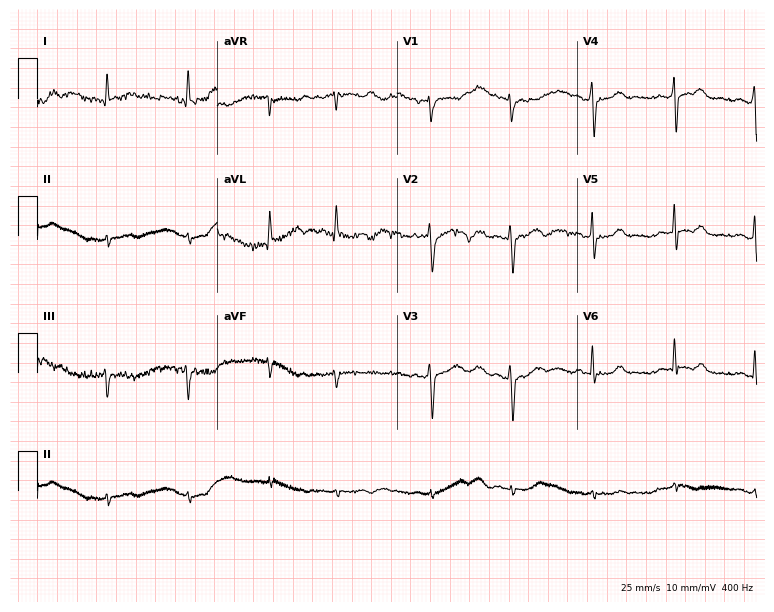
Resting 12-lead electrocardiogram. Patient: a 75-year-old man. None of these six findings is recorded: first-degree AV block, right bundle branch block, left bundle branch block, sinus bradycardia, atrial fibrillation, sinus tachycardia. Only these six findings were labelled.